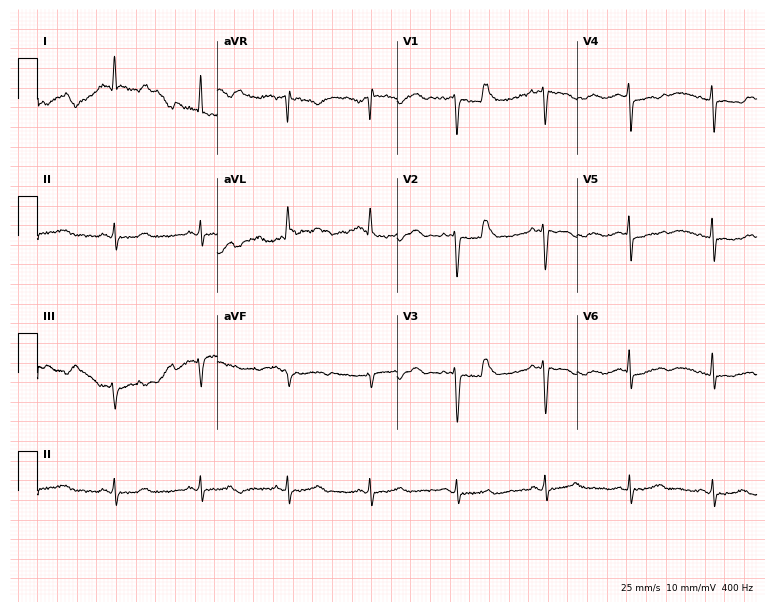
Resting 12-lead electrocardiogram. Patient: a 36-year-old female. None of these six findings is recorded: first-degree AV block, right bundle branch block (RBBB), left bundle branch block (LBBB), sinus bradycardia, atrial fibrillation (AF), sinus tachycardia. Other findings, if any, are not listed.